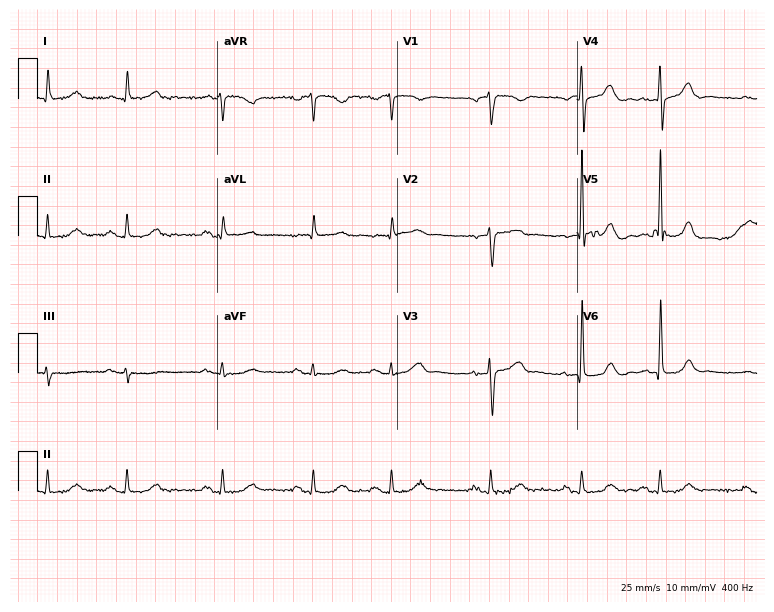
Electrocardiogram (7.3-second recording at 400 Hz), a 78-year-old male. Of the six screened findings (first-degree AV block, right bundle branch block, left bundle branch block, sinus bradycardia, atrial fibrillation, sinus tachycardia), none is recorded. Only these six findings were labelled.